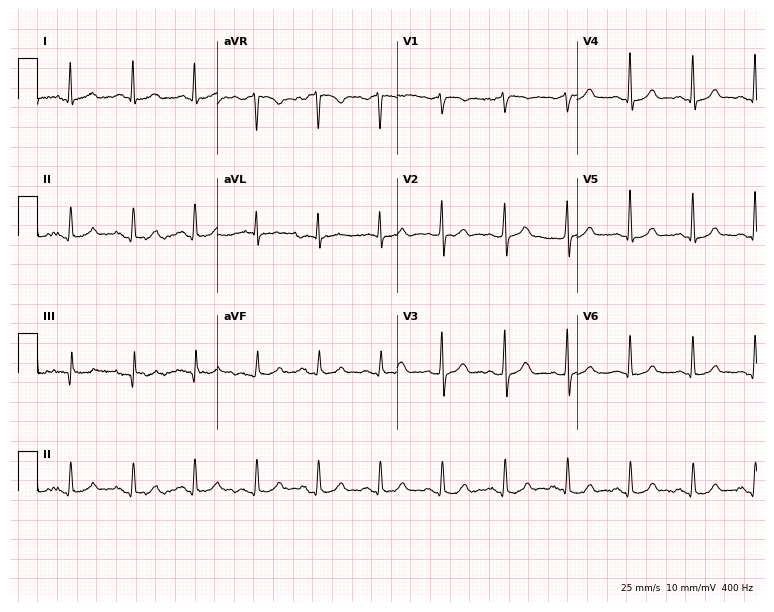
Resting 12-lead electrocardiogram (7.3-second recording at 400 Hz). Patient: a woman, 66 years old. Read as a normal ECG.